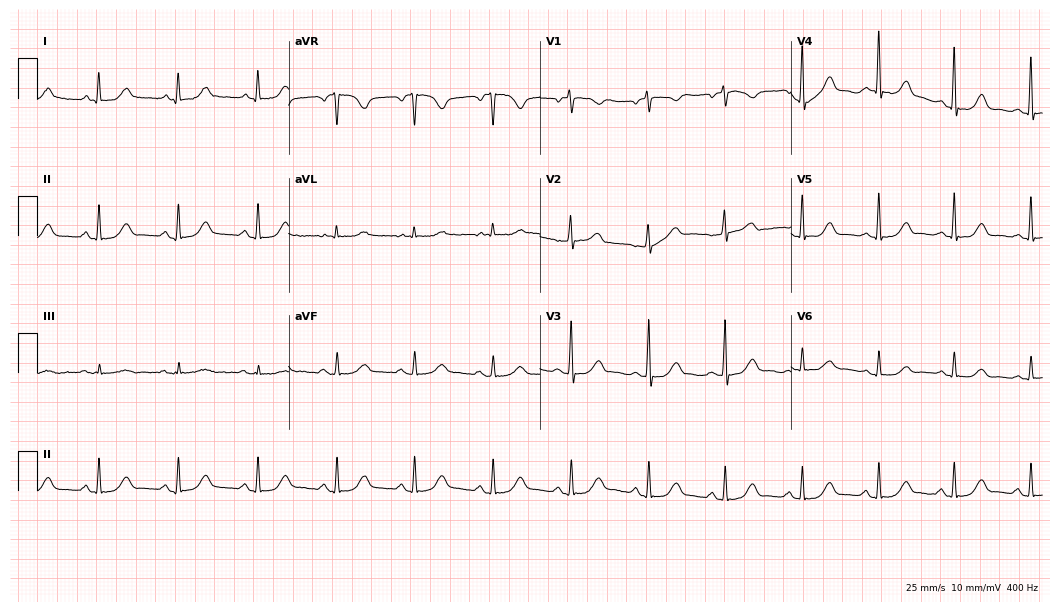
Standard 12-lead ECG recorded from a female, 60 years old (10.2-second recording at 400 Hz). Read as a normal ECG.